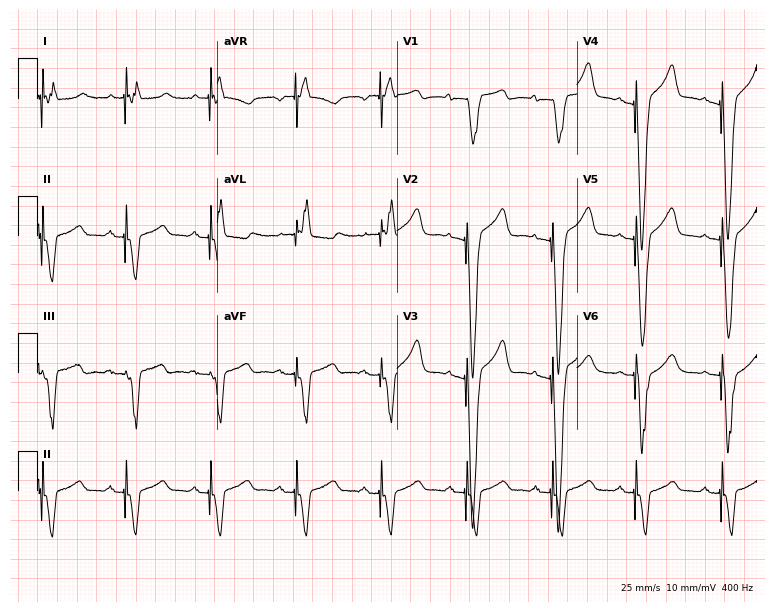
Standard 12-lead ECG recorded from a female patient, 81 years old (7.3-second recording at 400 Hz). None of these six findings is recorded: first-degree AV block, right bundle branch block (RBBB), left bundle branch block (LBBB), sinus bradycardia, atrial fibrillation (AF), sinus tachycardia. Only these six findings were labelled.